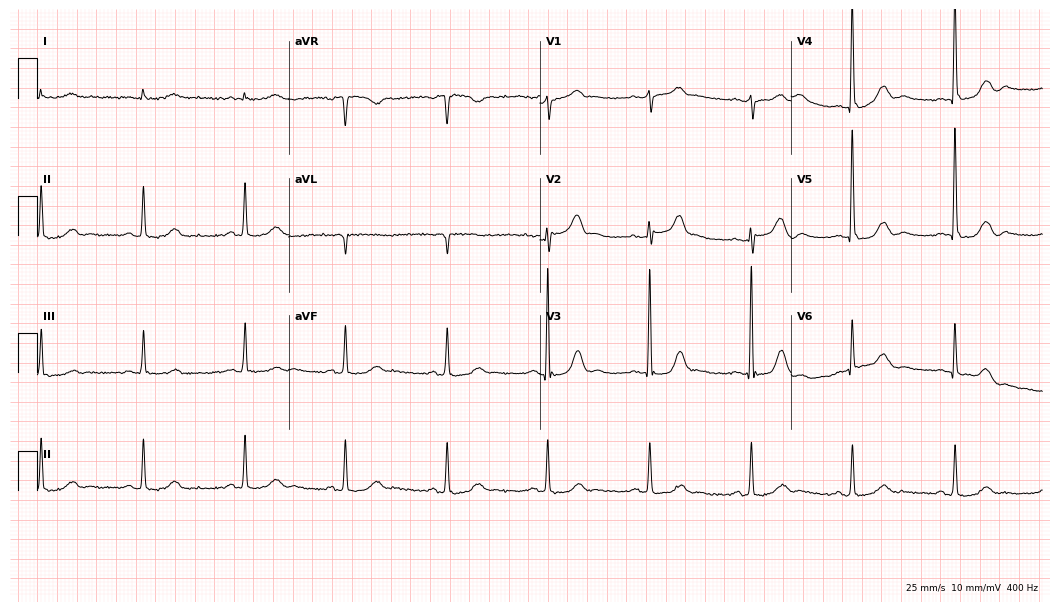
ECG (10.2-second recording at 400 Hz) — an 80-year-old female patient. Labelled as a normal ECG.